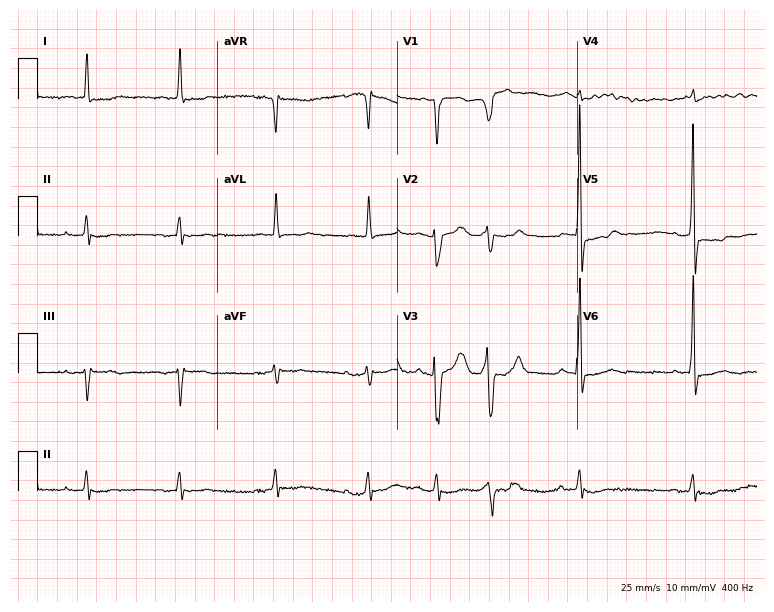
12-lead ECG from a male patient, 84 years old. Screened for six findings — first-degree AV block, right bundle branch block, left bundle branch block, sinus bradycardia, atrial fibrillation, sinus tachycardia — none is recorded. Findings outside these six are not listed.